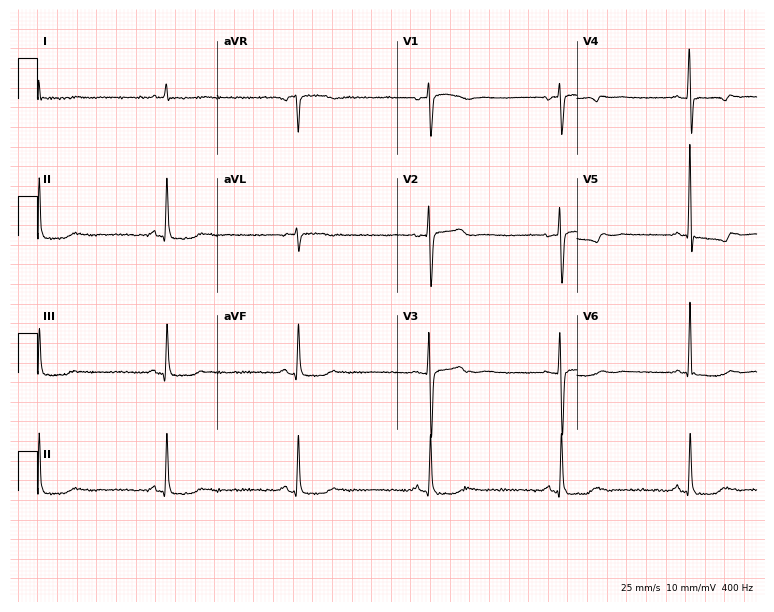
12-lead ECG (7.3-second recording at 400 Hz) from a 62-year-old female patient. Findings include sinus bradycardia (a sinus rate of 50 beats per minute or less).